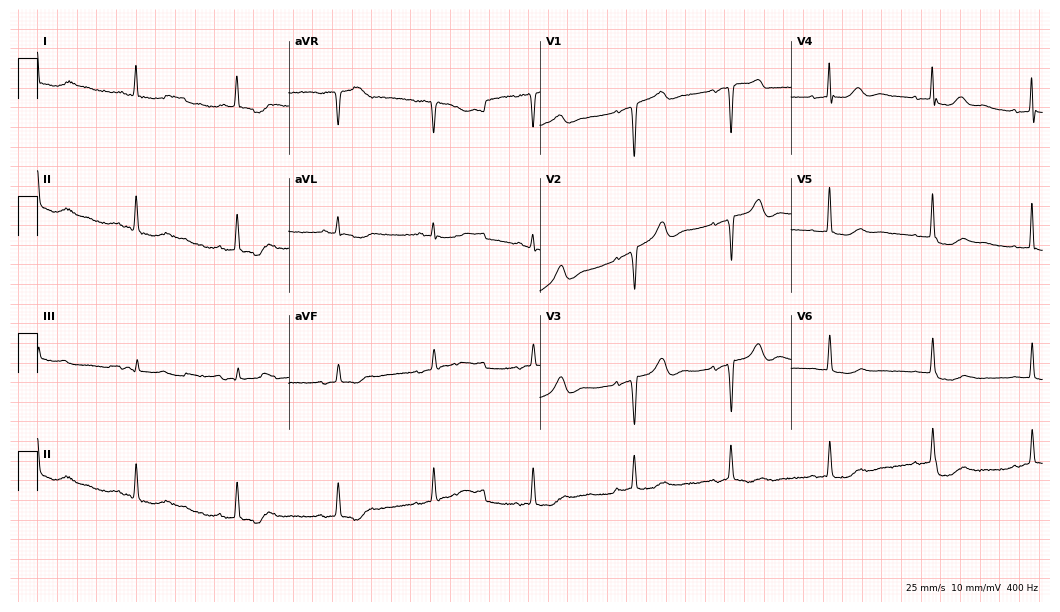
Standard 12-lead ECG recorded from a female patient, 77 years old. None of these six findings is recorded: first-degree AV block, right bundle branch block, left bundle branch block, sinus bradycardia, atrial fibrillation, sinus tachycardia.